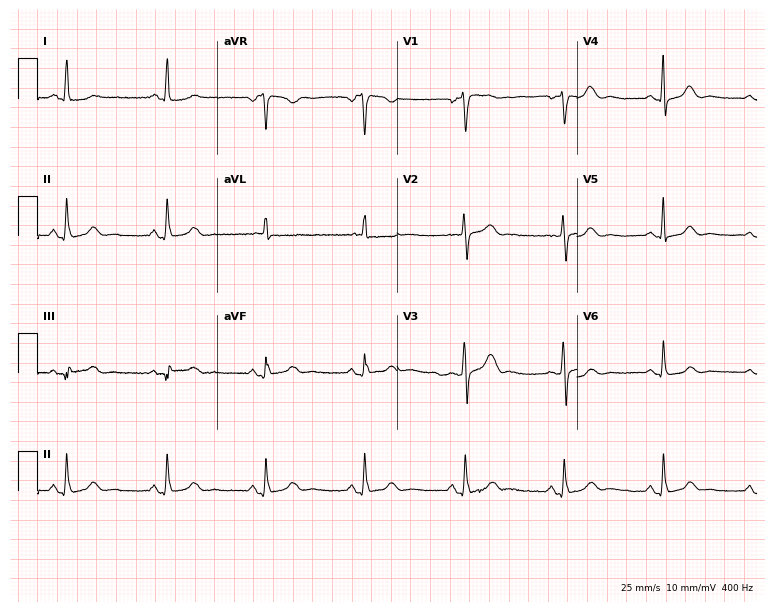
Electrocardiogram, a female patient, 62 years old. Overall reading on record: normal ECG.